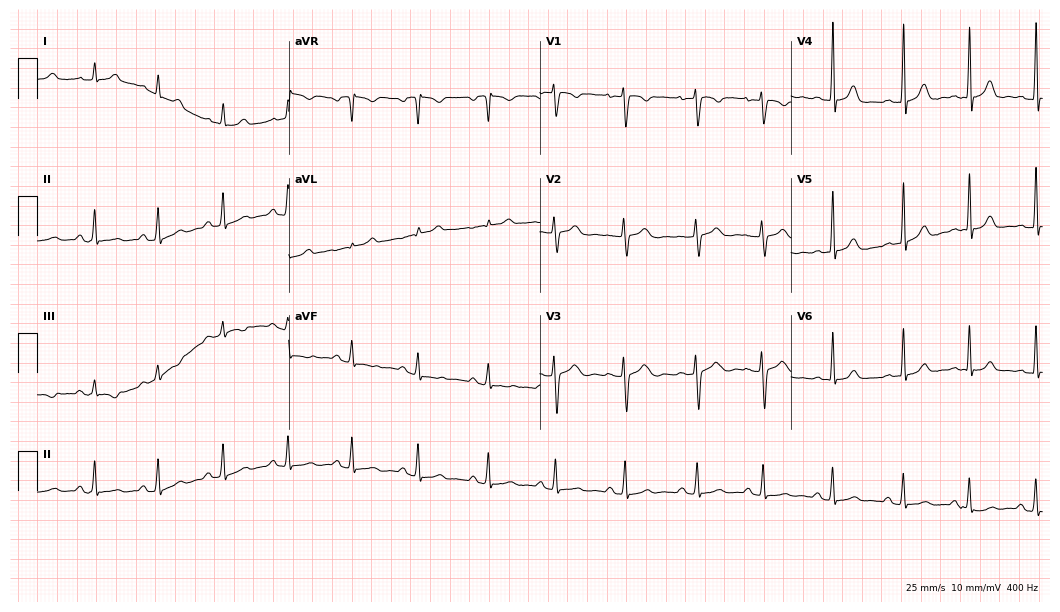
ECG — a 21-year-old female patient. Labelled as a normal ECG.